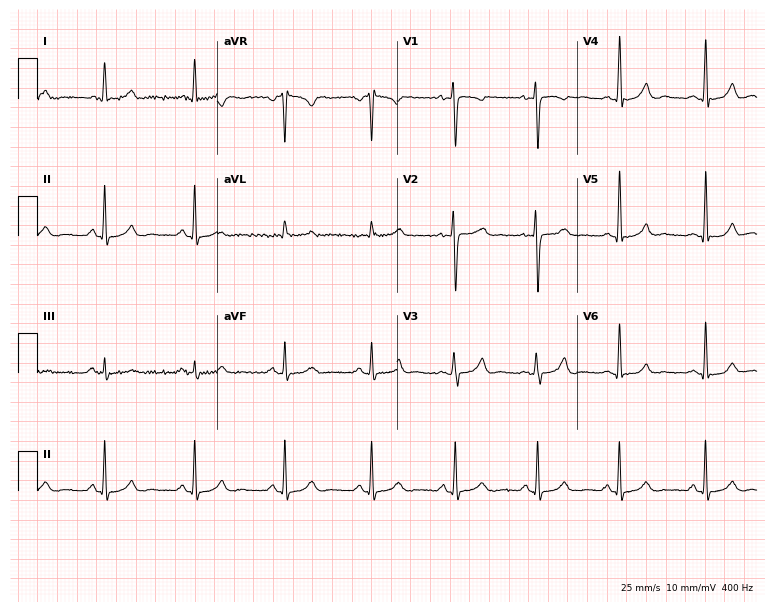
12-lead ECG (7.3-second recording at 400 Hz) from a 45-year-old female. Labelled as a normal ECG.